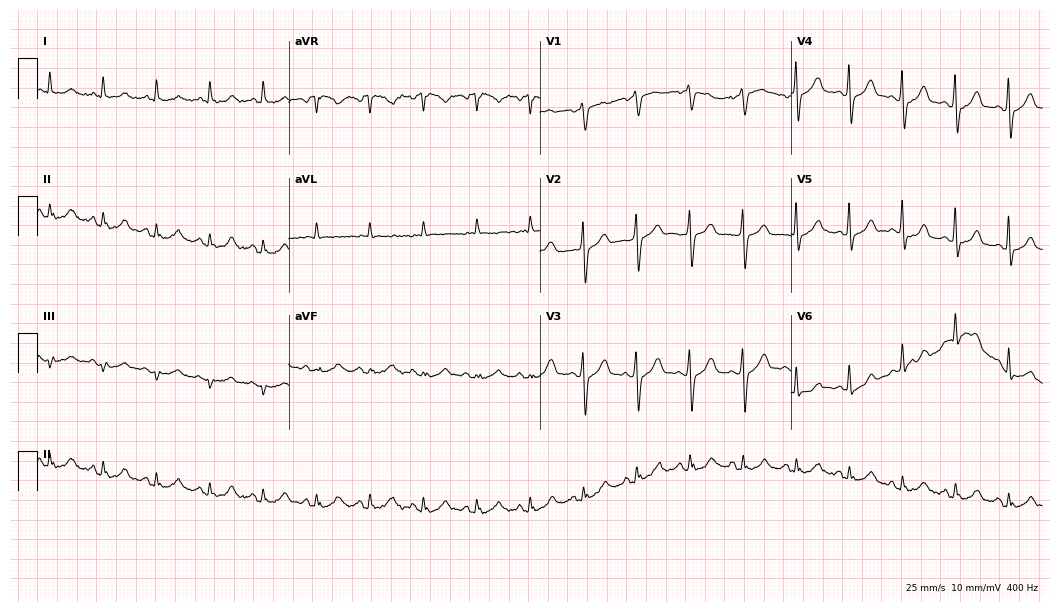
Resting 12-lead electrocardiogram. Patient: an 81-year-old male. The tracing shows sinus tachycardia (a sinus rate of 100 beats per minute or more).